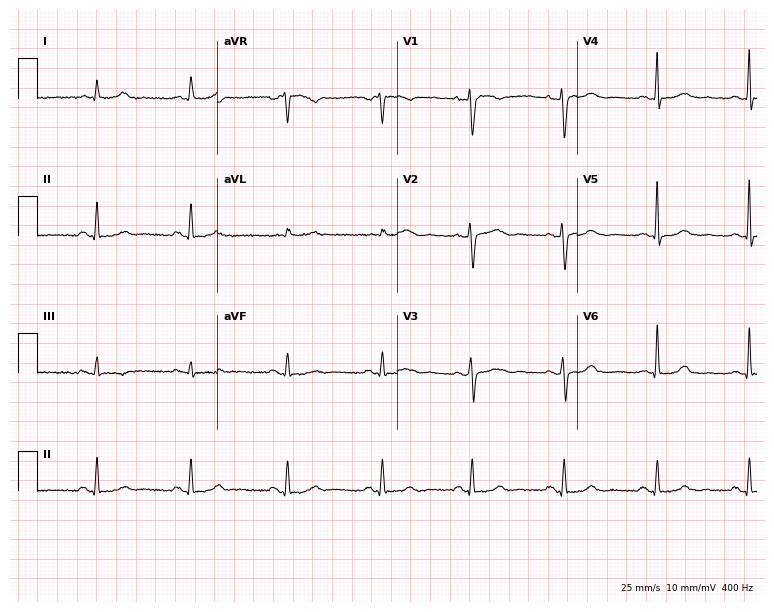
ECG — a 36-year-old female patient. Screened for six findings — first-degree AV block, right bundle branch block, left bundle branch block, sinus bradycardia, atrial fibrillation, sinus tachycardia — none is recorded.